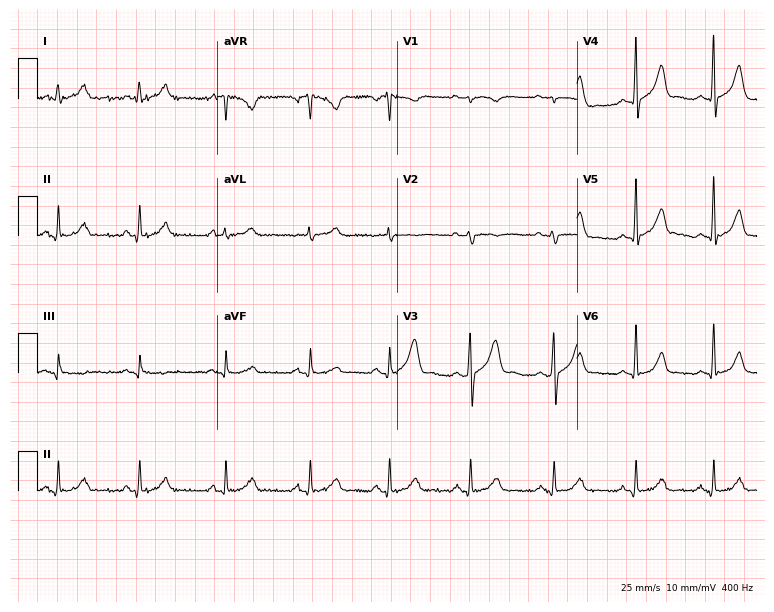
ECG — a 29-year-old male patient. Screened for six findings — first-degree AV block, right bundle branch block, left bundle branch block, sinus bradycardia, atrial fibrillation, sinus tachycardia — none is recorded.